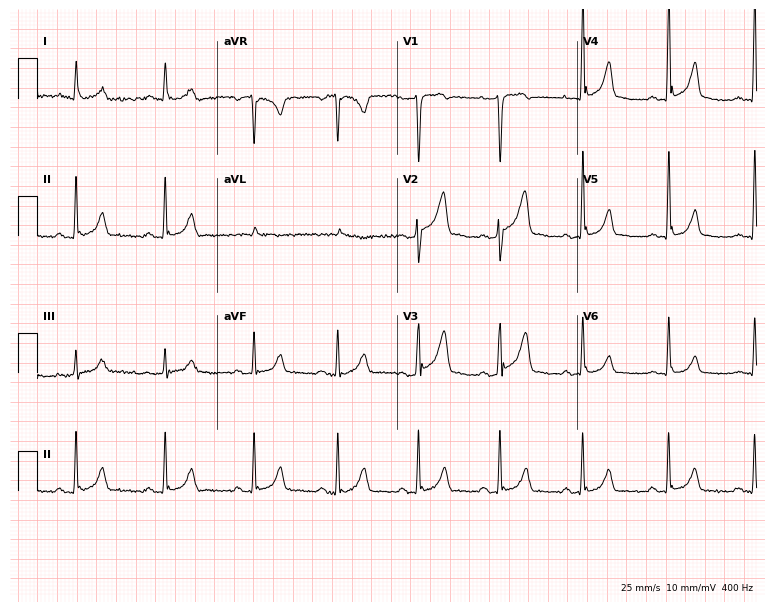
Electrocardiogram, a 44-year-old male patient. Of the six screened findings (first-degree AV block, right bundle branch block, left bundle branch block, sinus bradycardia, atrial fibrillation, sinus tachycardia), none is recorded. Only these six findings were labelled.